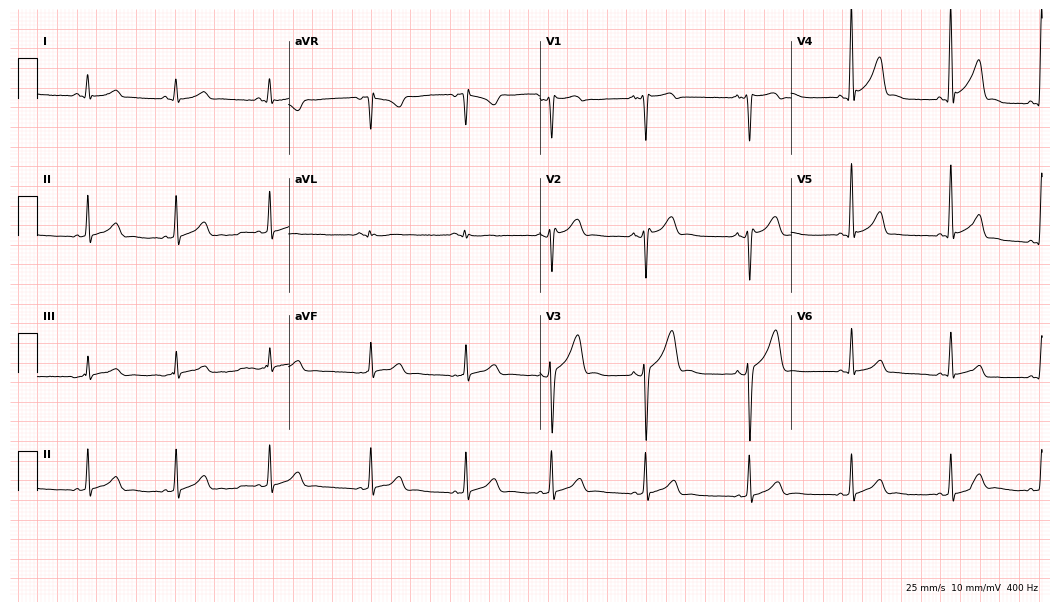
Electrocardiogram, a man, 20 years old. Of the six screened findings (first-degree AV block, right bundle branch block (RBBB), left bundle branch block (LBBB), sinus bradycardia, atrial fibrillation (AF), sinus tachycardia), none is recorded.